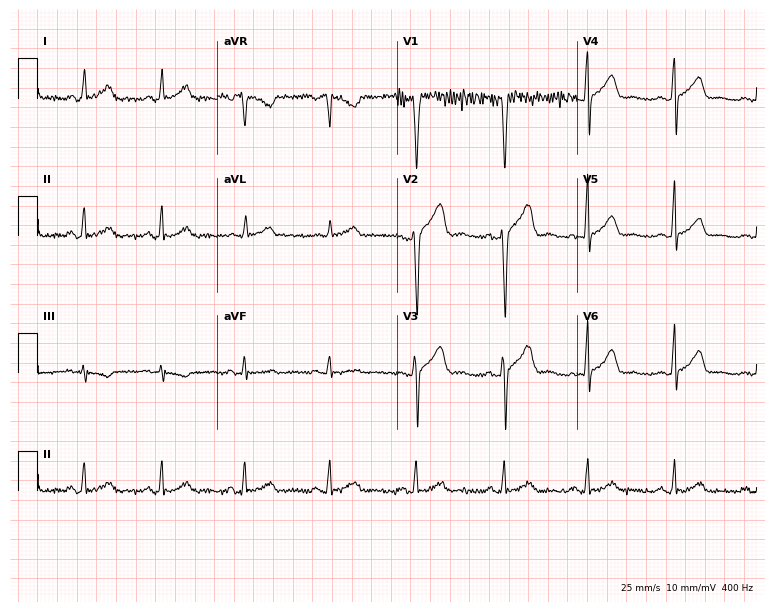
12-lead ECG (7.3-second recording at 400 Hz) from a man, 31 years old. Labelled as a normal ECG.